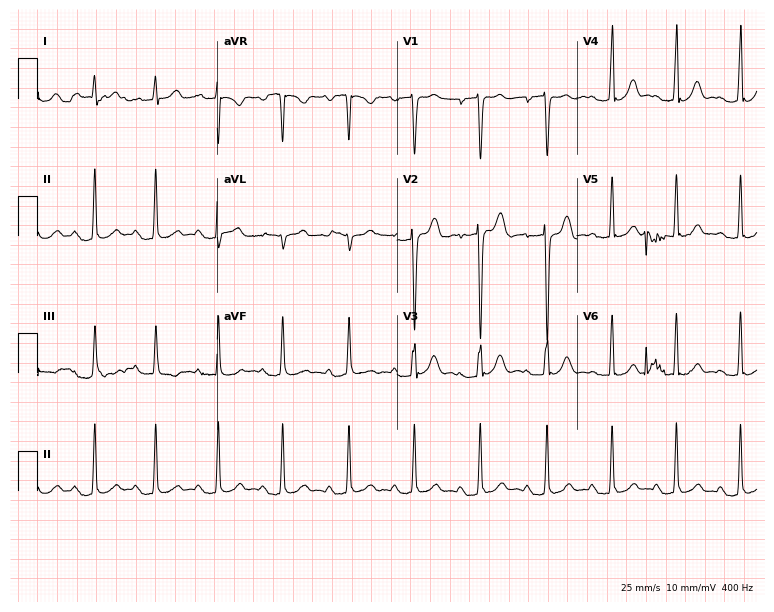
Resting 12-lead electrocardiogram (7.3-second recording at 400 Hz). Patient: a male, 32 years old. None of these six findings is recorded: first-degree AV block, right bundle branch block (RBBB), left bundle branch block (LBBB), sinus bradycardia, atrial fibrillation (AF), sinus tachycardia. Findings outside these six are not listed.